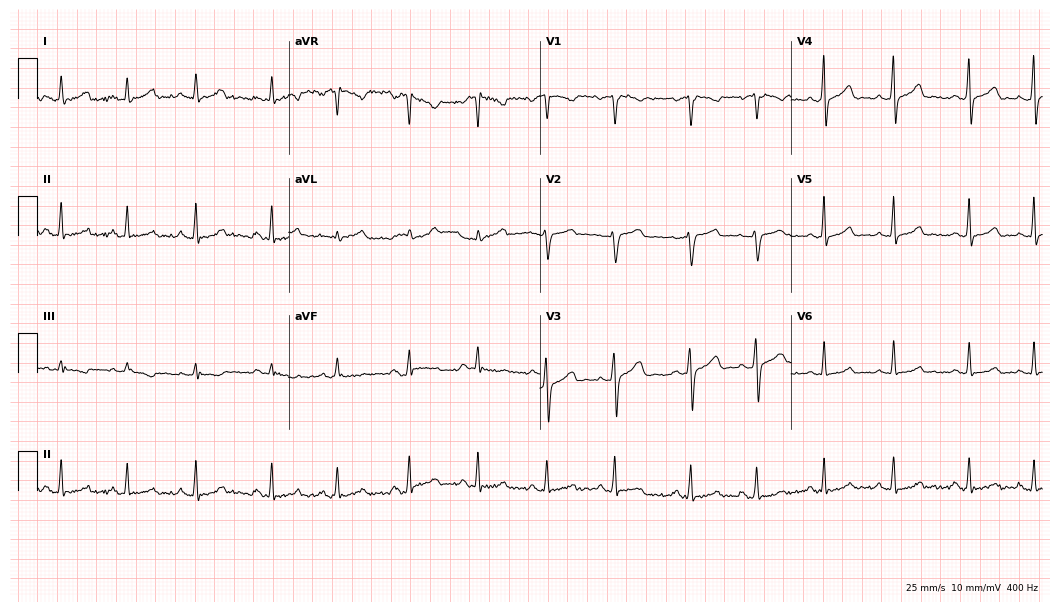
Standard 12-lead ECG recorded from a 25-year-old female. Read as a normal ECG.